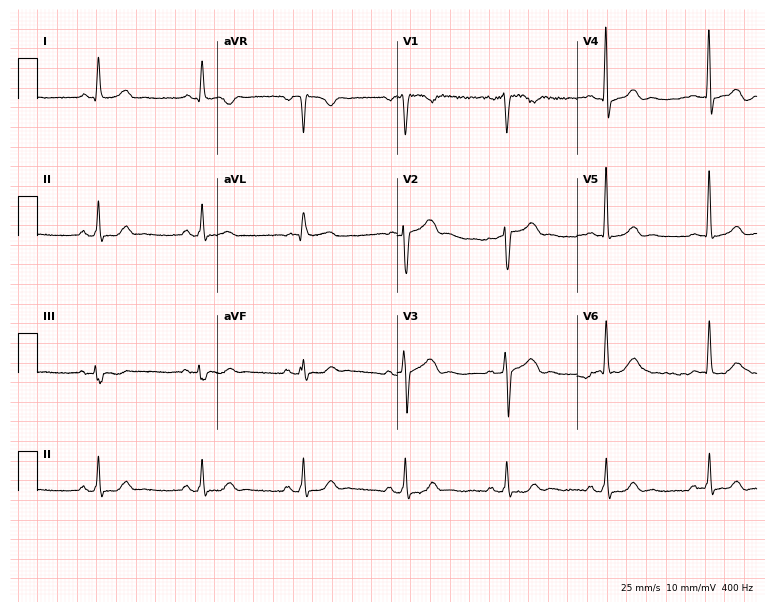
Electrocardiogram (7.3-second recording at 400 Hz), a 65-year-old man. Overall reading on record: normal ECG.